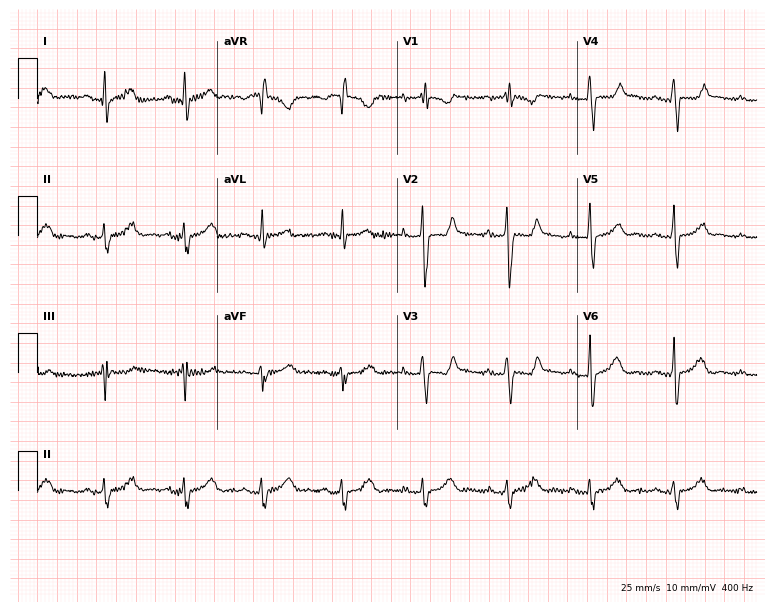
Standard 12-lead ECG recorded from a woman, 30 years old. None of these six findings is recorded: first-degree AV block, right bundle branch block, left bundle branch block, sinus bradycardia, atrial fibrillation, sinus tachycardia.